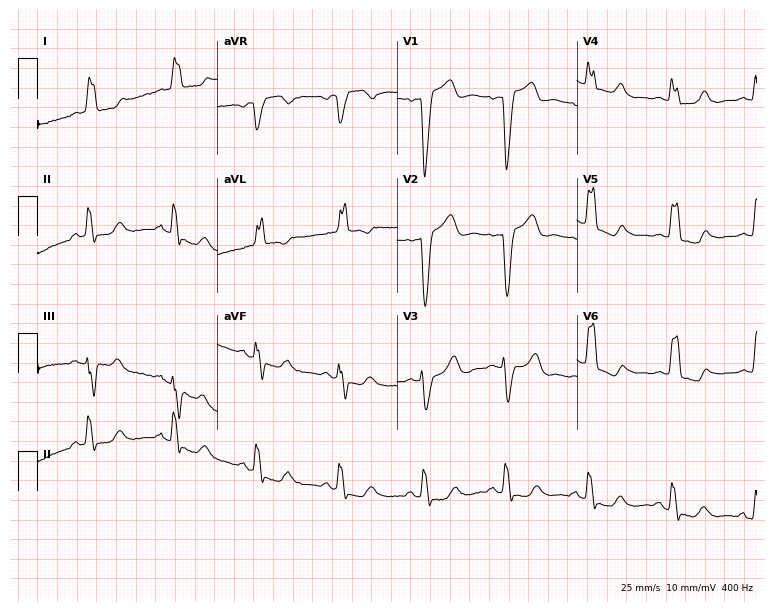
ECG — a woman, 64 years old. Findings include left bundle branch block (LBBB).